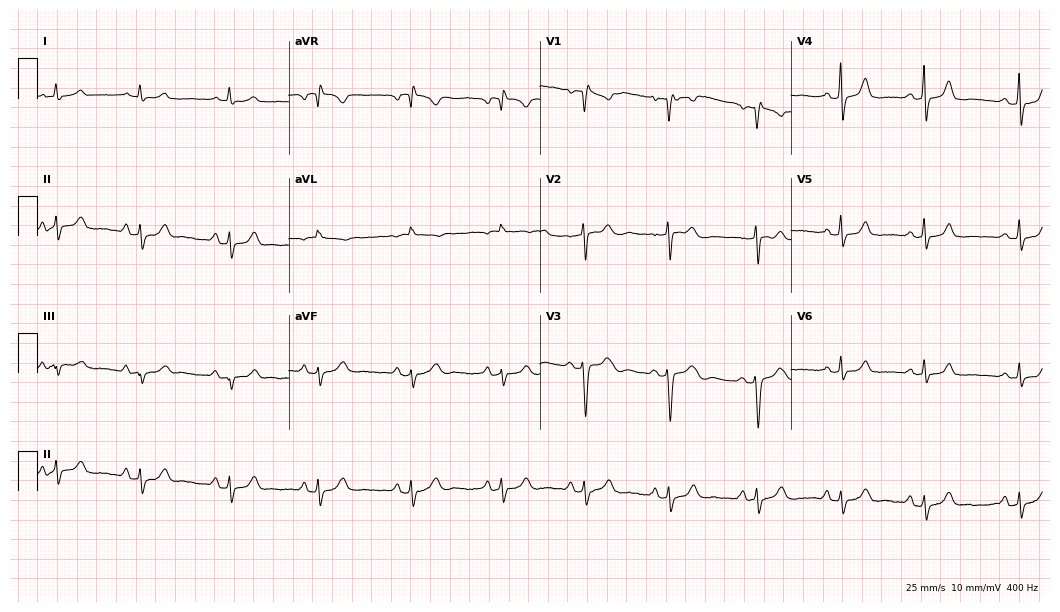
Standard 12-lead ECG recorded from a female, 41 years old (10.2-second recording at 400 Hz). None of these six findings is recorded: first-degree AV block, right bundle branch block, left bundle branch block, sinus bradycardia, atrial fibrillation, sinus tachycardia.